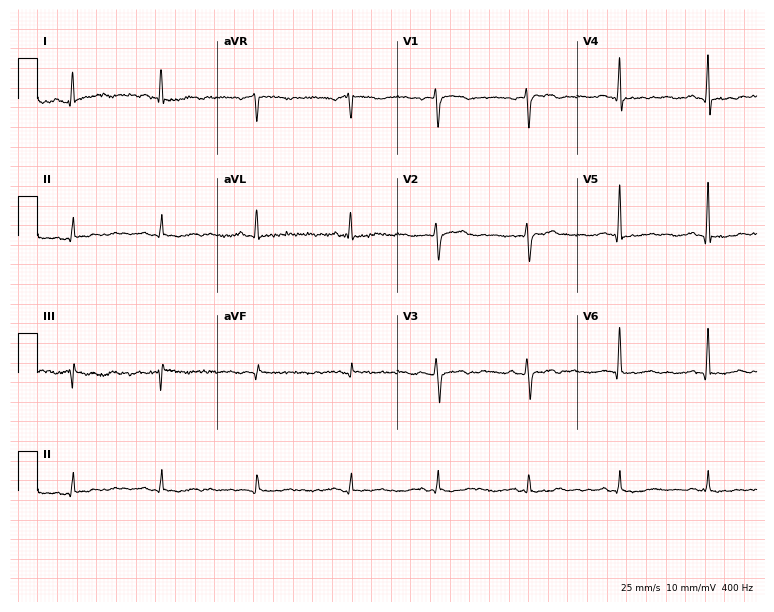
12-lead ECG from a 44-year-old female patient. Screened for six findings — first-degree AV block, right bundle branch block, left bundle branch block, sinus bradycardia, atrial fibrillation, sinus tachycardia — none is recorded.